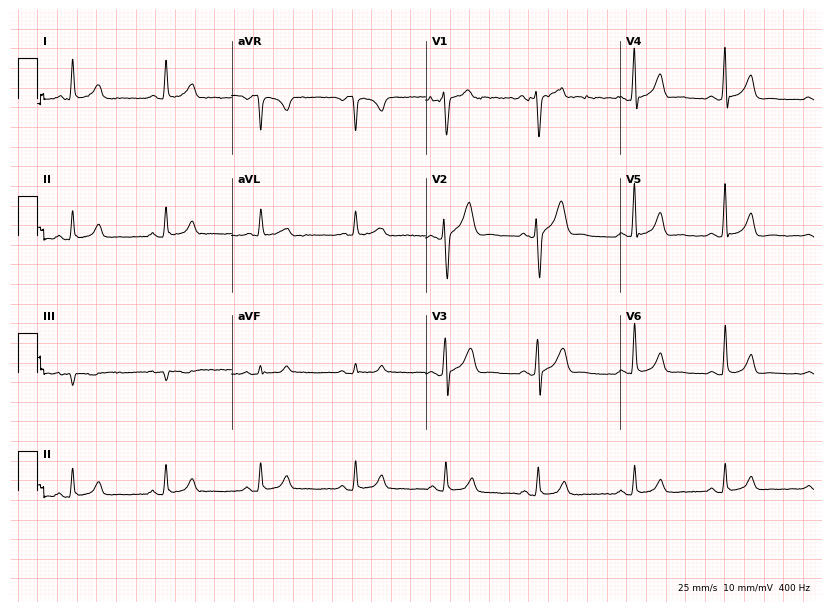
12-lead ECG from a man, 34 years old. Labelled as a normal ECG.